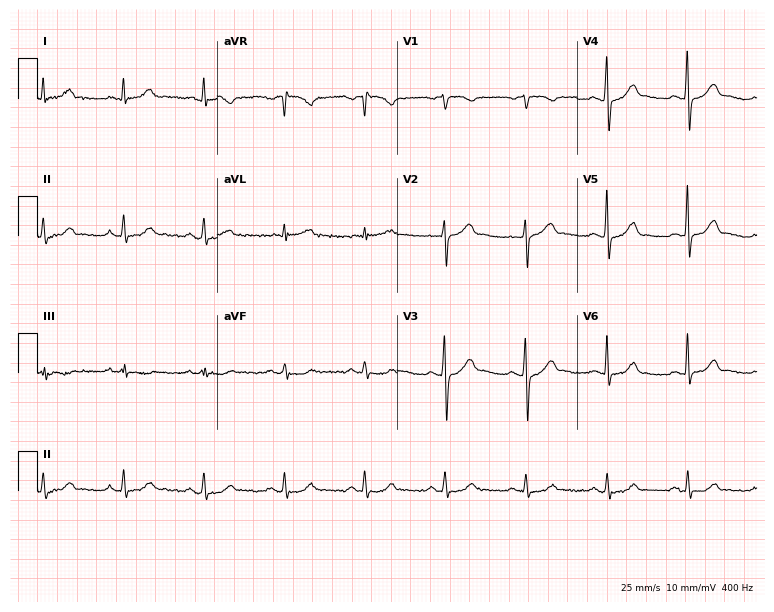
Electrocardiogram (7.3-second recording at 400 Hz), a man, 81 years old. Overall reading on record: normal ECG.